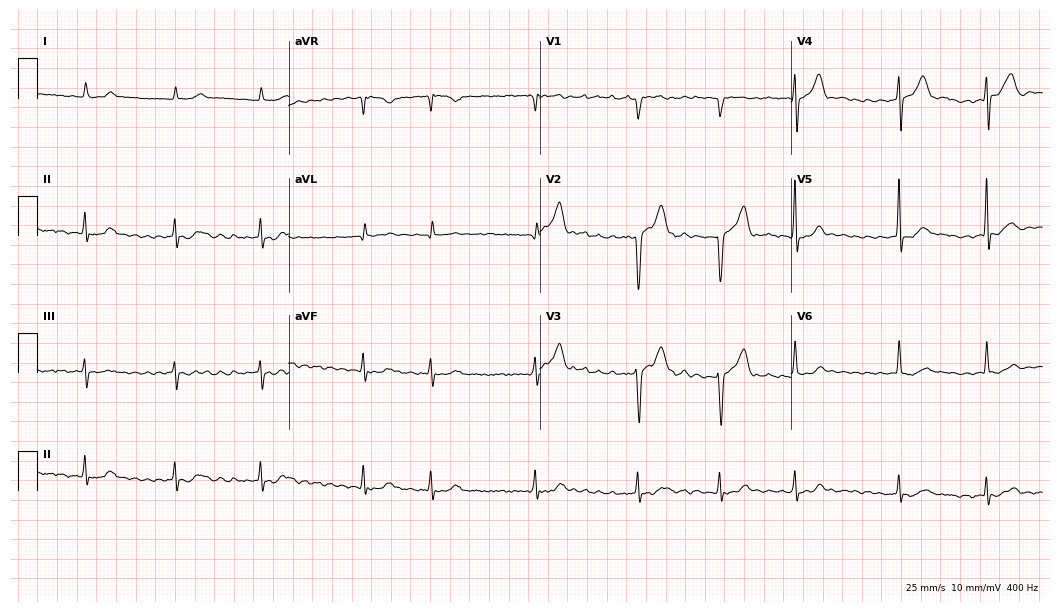
Resting 12-lead electrocardiogram (10.2-second recording at 400 Hz). Patient: a man, 72 years old. The tracing shows atrial fibrillation (AF).